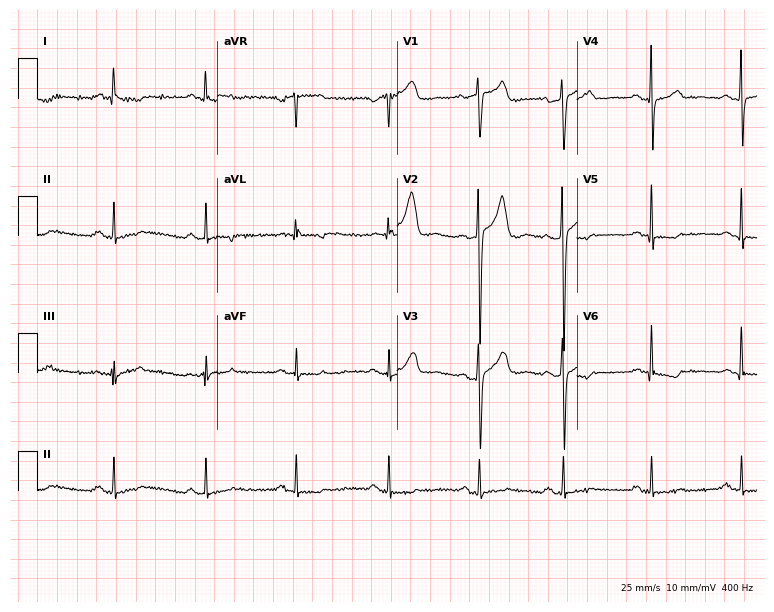
Resting 12-lead electrocardiogram. Patient: a male, 39 years old. None of these six findings is recorded: first-degree AV block, right bundle branch block, left bundle branch block, sinus bradycardia, atrial fibrillation, sinus tachycardia.